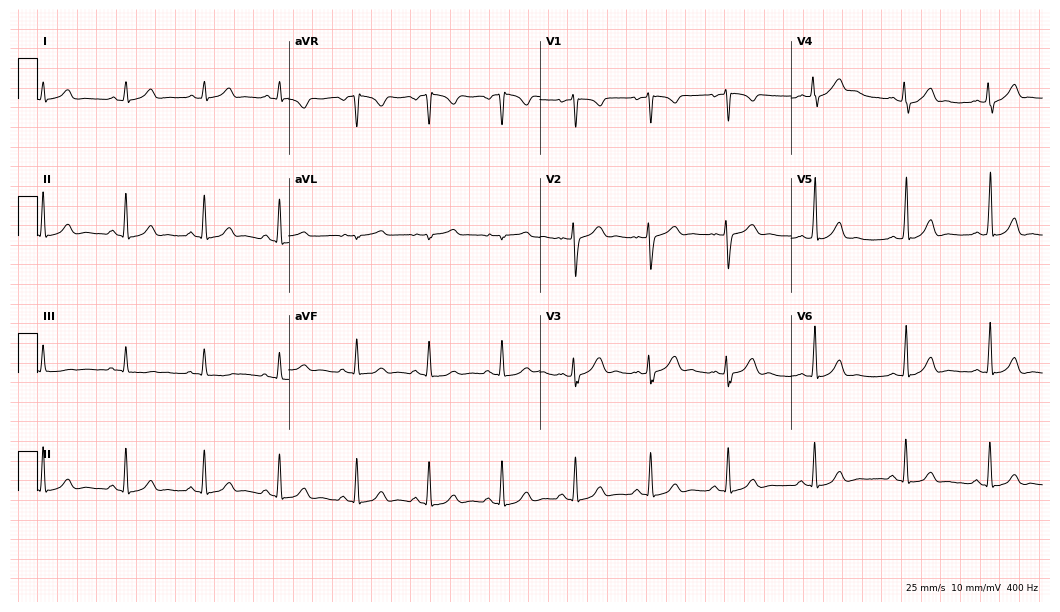
12-lead ECG from a woman, 21 years old. Labelled as a normal ECG.